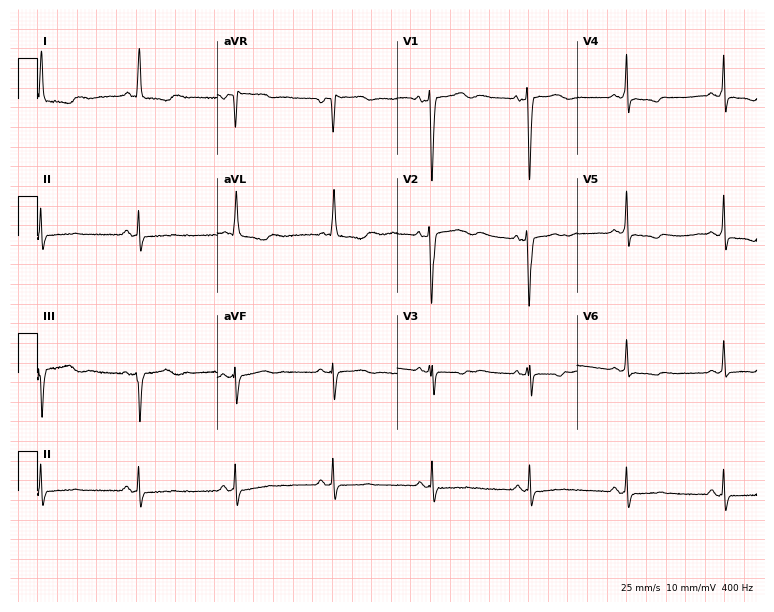
12-lead ECG from an 82-year-old woman. Screened for six findings — first-degree AV block, right bundle branch block, left bundle branch block, sinus bradycardia, atrial fibrillation, sinus tachycardia — none is recorded.